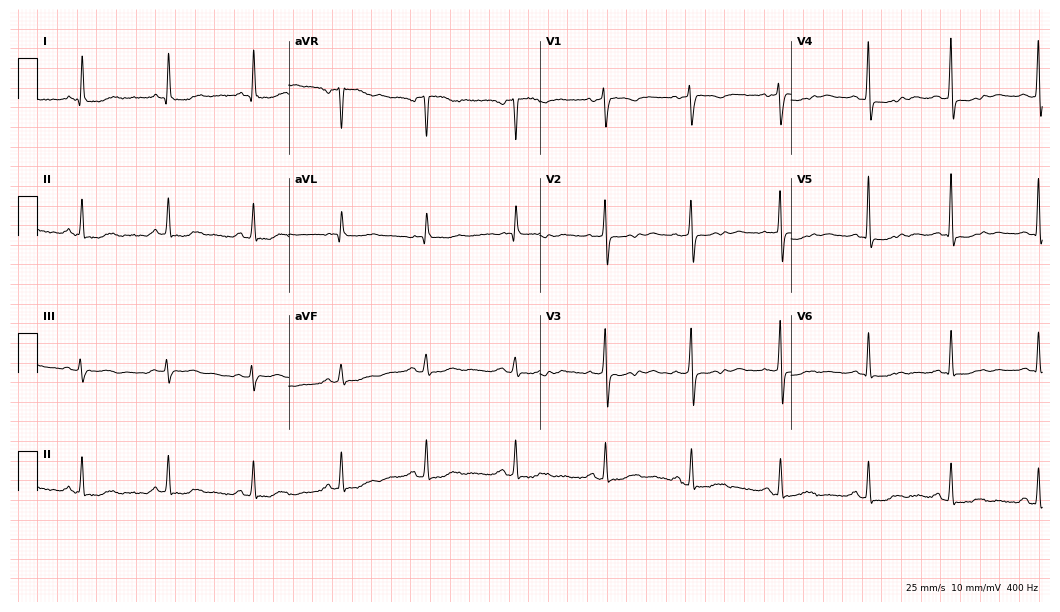
ECG — a 67-year-old woman. Screened for six findings — first-degree AV block, right bundle branch block, left bundle branch block, sinus bradycardia, atrial fibrillation, sinus tachycardia — none is recorded. Findings outside these six are not listed.